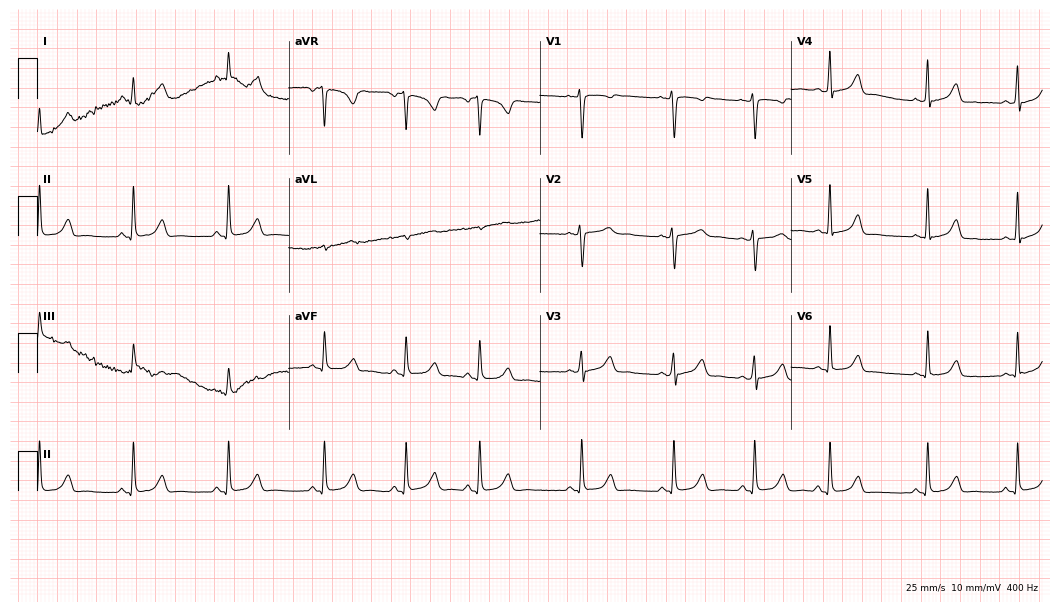
Resting 12-lead electrocardiogram (10.2-second recording at 400 Hz). Patient: a 25-year-old female. Read as a normal ECG.